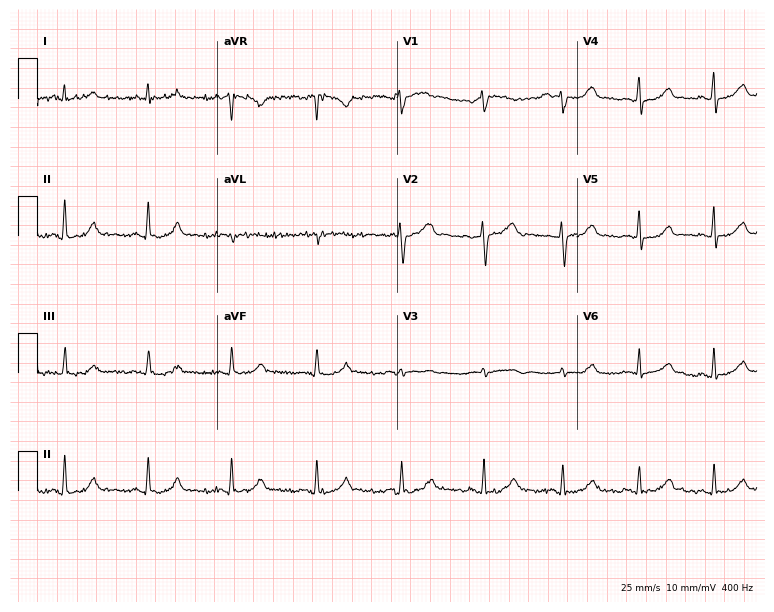
12-lead ECG from a woman, 43 years old. Recorded interpretation: within normal limits.